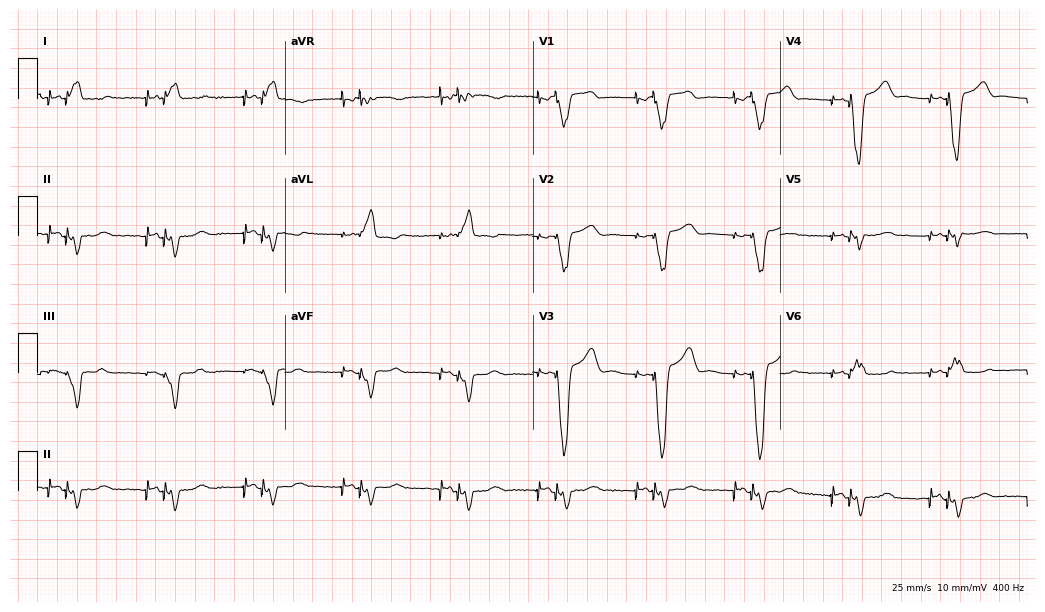
ECG (10.1-second recording at 400 Hz) — a 76-year-old male patient. Screened for six findings — first-degree AV block, right bundle branch block, left bundle branch block, sinus bradycardia, atrial fibrillation, sinus tachycardia — none is recorded.